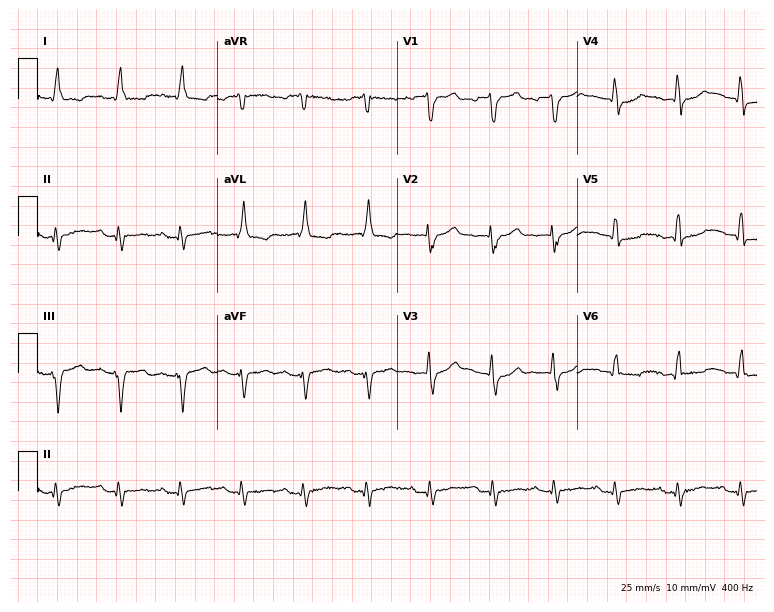
Resting 12-lead electrocardiogram (7.3-second recording at 400 Hz). Patient: a male, 82 years old. The tracing shows left bundle branch block.